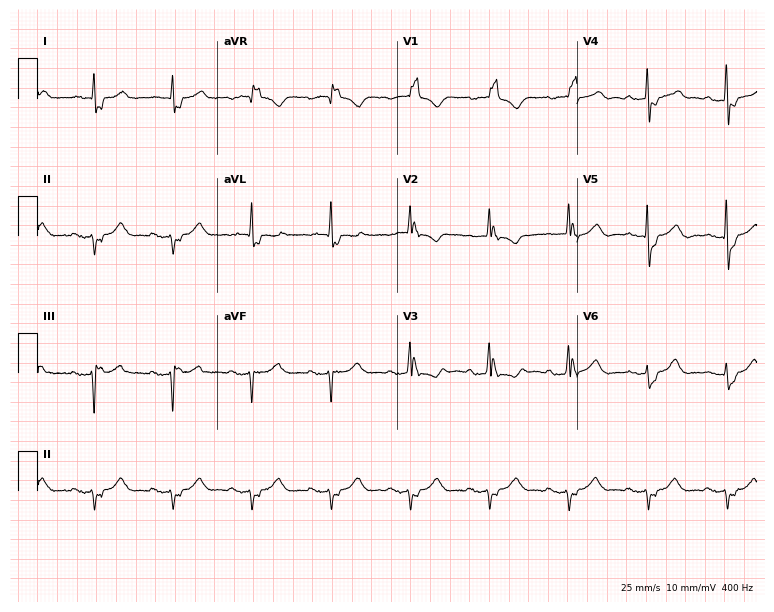
Electrocardiogram, a female, 73 years old. Interpretation includes right bundle branch block.